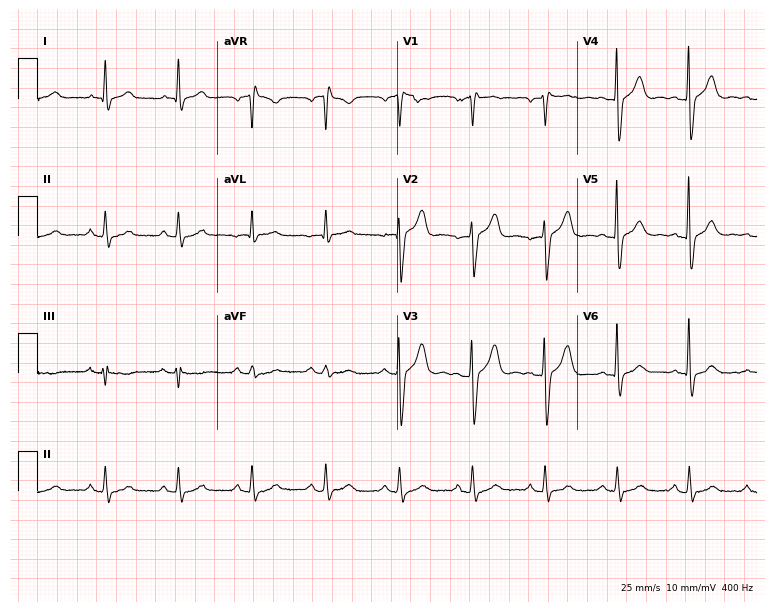
Electrocardiogram, a male, 72 years old. Of the six screened findings (first-degree AV block, right bundle branch block, left bundle branch block, sinus bradycardia, atrial fibrillation, sinus tachycardia), none is recorded.